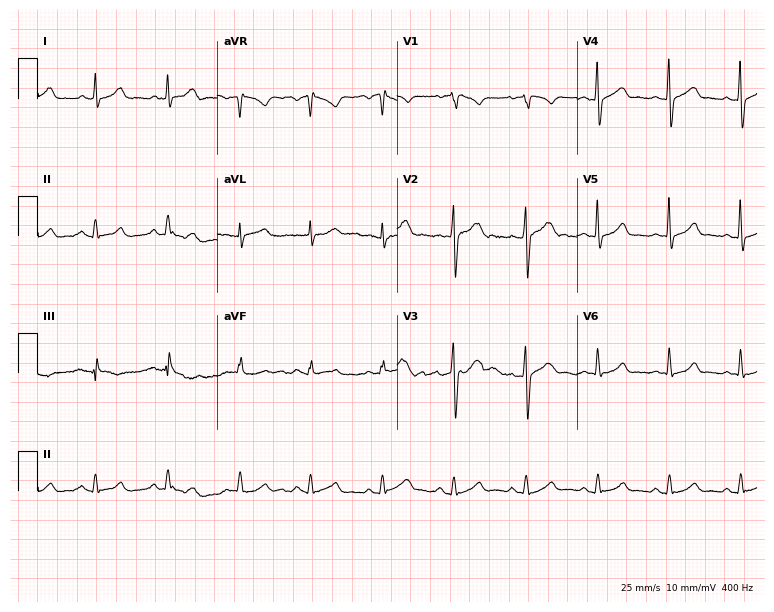
ECG — a man, 40 years old. Labelled as a normal ECG.